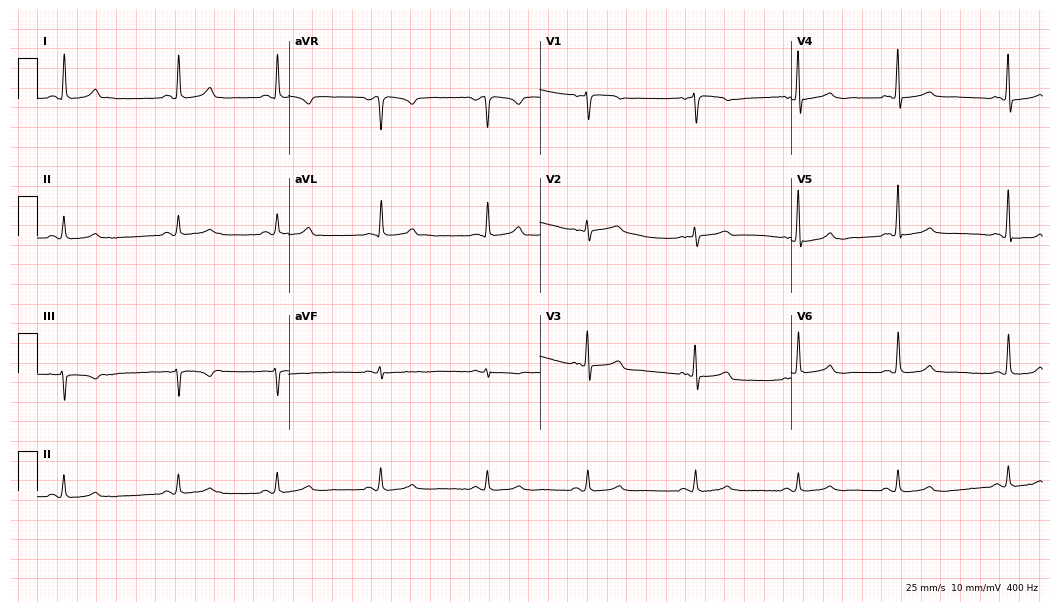
Resting 12-lead electrocardiogram (10.2-second recording at 400 Hz). Patient: a 63-year-old female. Read as a normal ECG.